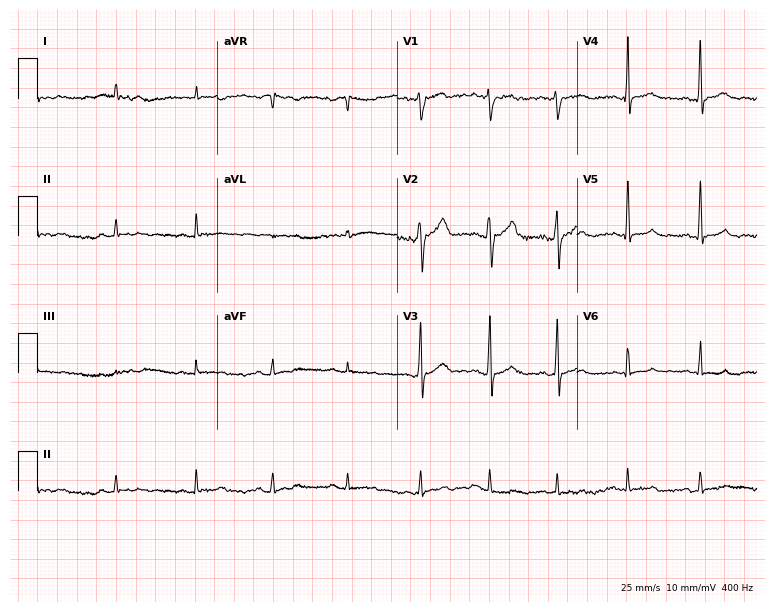
ECG — a man, 21 years old. Labelled as a normal ECG.